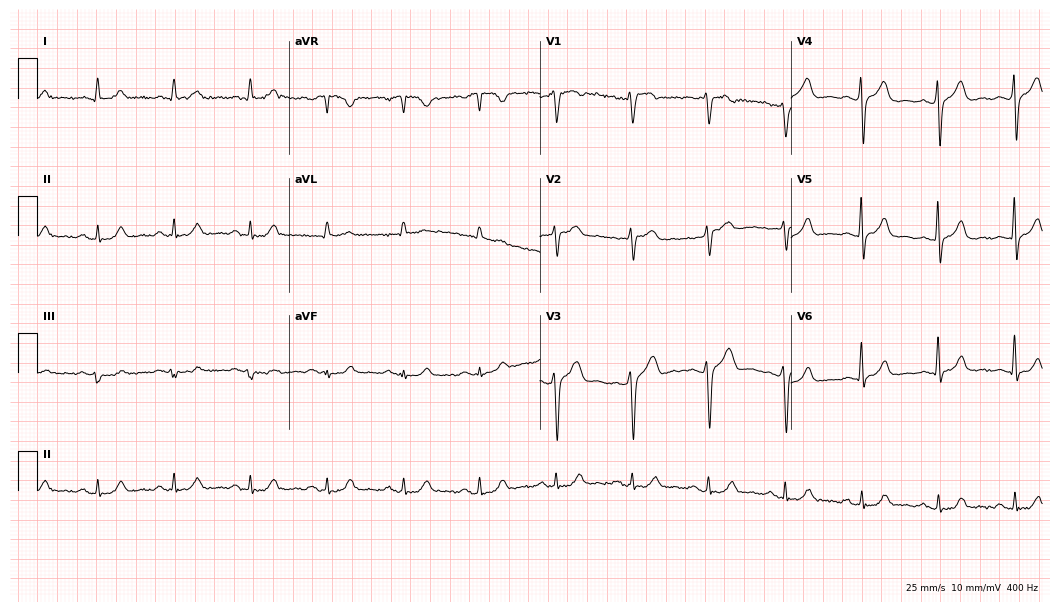
12-lead ECG from a 72-year-old male. No first-degree AV block, right bundle branch block, left bundle branch block, sinus bradycardia, atrial fibrillation or sinus tachycardia recorded for this tracing.